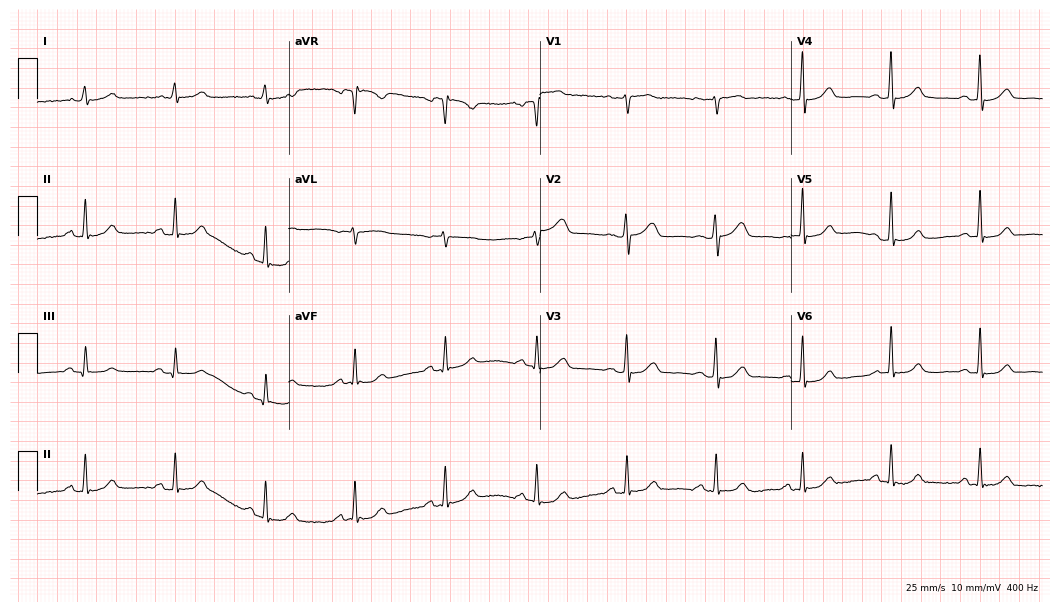
Resting 12-lead electrocardiogram (10.2-second recording at 400 Hz). Patient: a female, 71 years old. Read as a normal ECG.